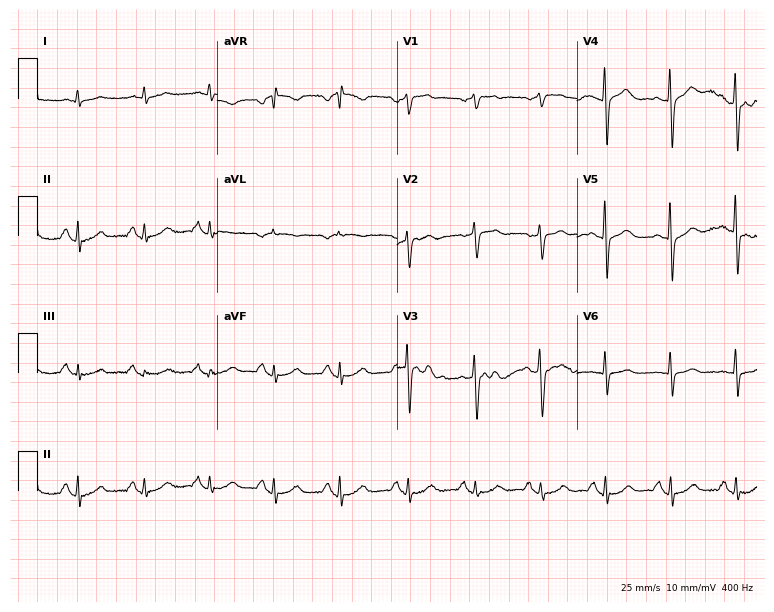
Resting 12-lead electrocardiogram (7.3-second recording at 400 Hz). Patient: a 70-year-old male. None of these six findings is recorded: first-degree AV block, right bundle branch block, left bundle branch block, sinus bradycardia, atrial fibrillation, sinus tachycardia. Only these six findings were labelled.